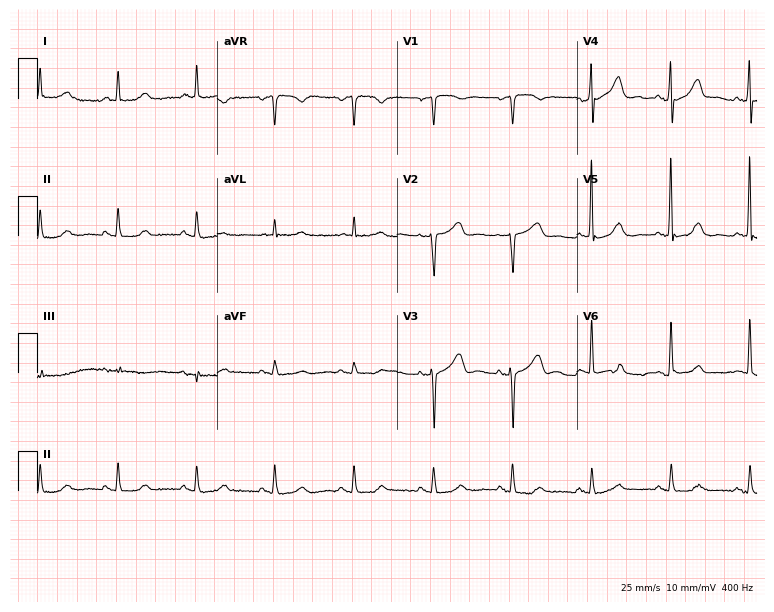
ECG — a female patient, 81 years old. Labelled as a normal ECG.